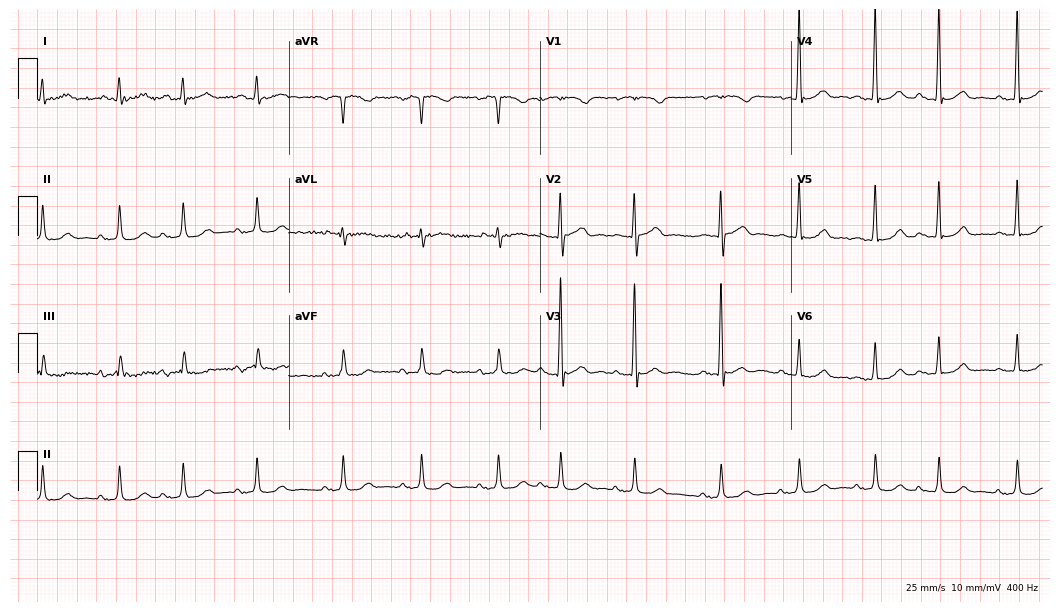
ECG (10.2-second recording at 400 Hz) — an 80-year-old male patient. Screened for six findings — first-degree AV block, right bundle branch block (RBBB), left bundle branch block (LBBB), sinus bradycardia, atrial fibrillation (AF), sinus tachycardia — none is recorded. Only these six findings were labelled.